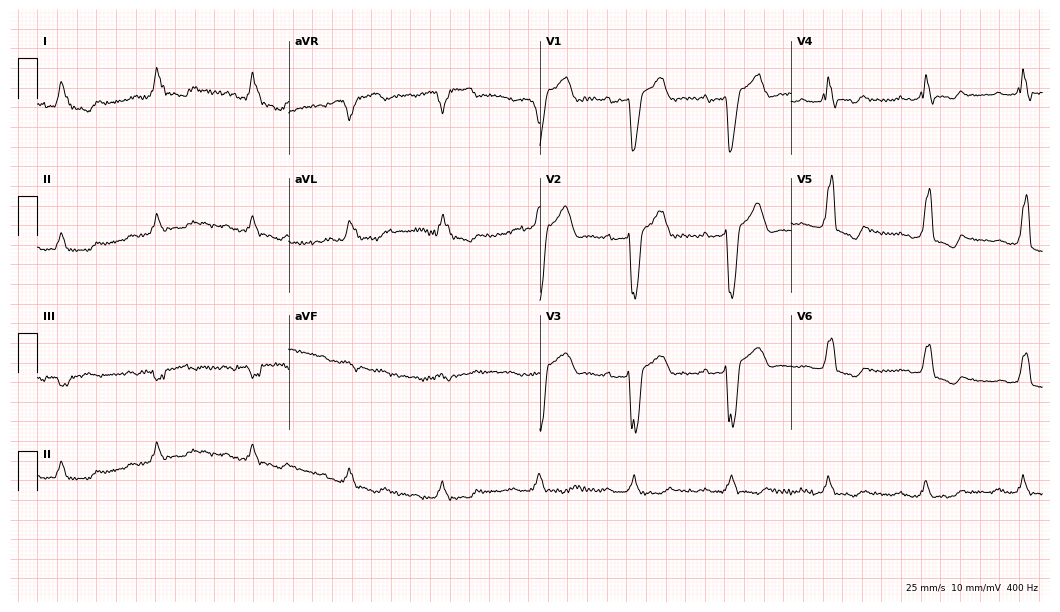
Standard 12-lead ECG recorded from a 73-year-old male patient. The tracing shows left bundle branch block (LBBB).